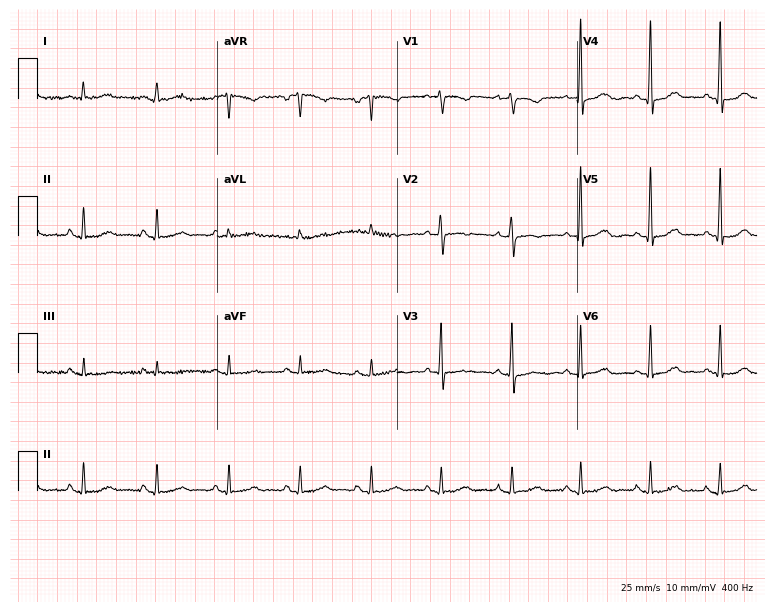
12-lead ECG from a female patient, 78 years old (7.3-second recording at 400 Hz). Recorded interpretation: within normal limits.